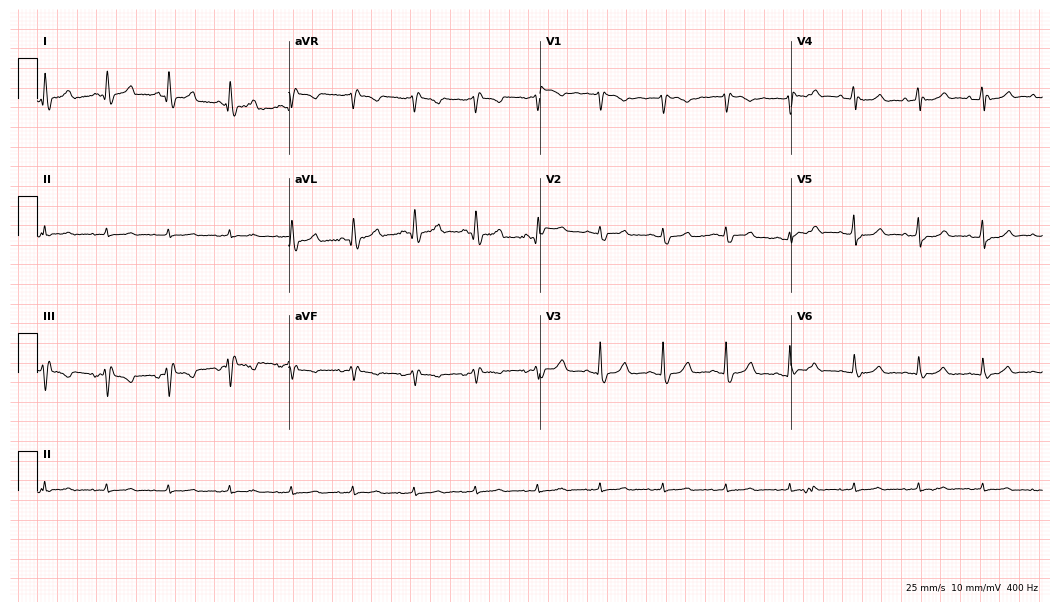
Electrocardiogram (10.2-second recording at 400 Hz), a 66-year-old woman. Of the six screened findings (first-degree AV block, right bundle branch block, left bundle branch block, sinus bradycardia, atrial fibrillation, sinus tachycardia), none is recorded.